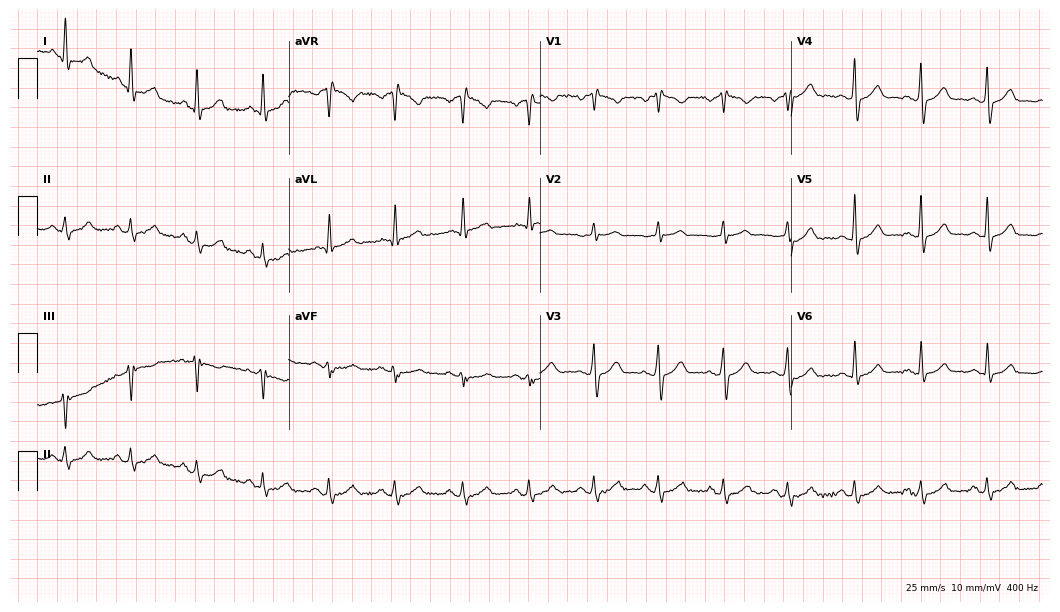
ECG (10.2-second recording at 400 Hz) — a 45-year-old female patient. Labelled as a normal ECG.